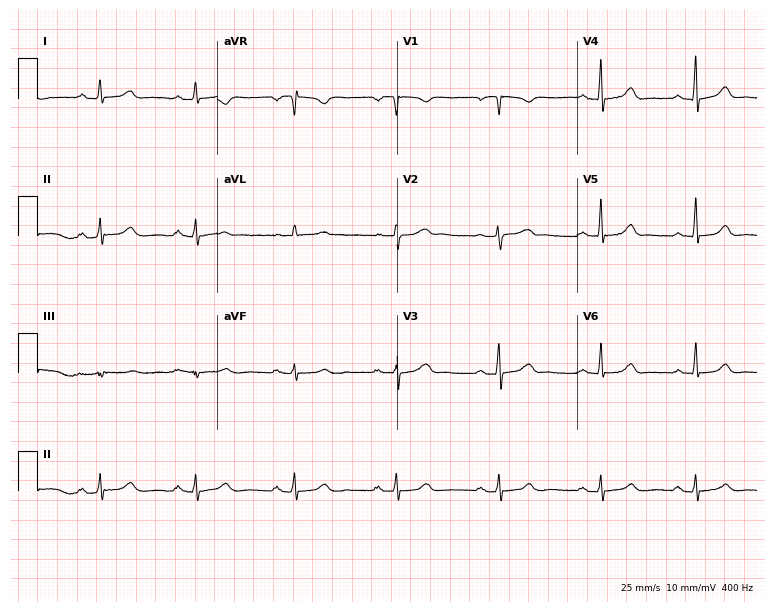
12-lead ECG from a 33-year-old woman (7.3-second recording at 400 Hz). Recorded interpretation: within normal limits.